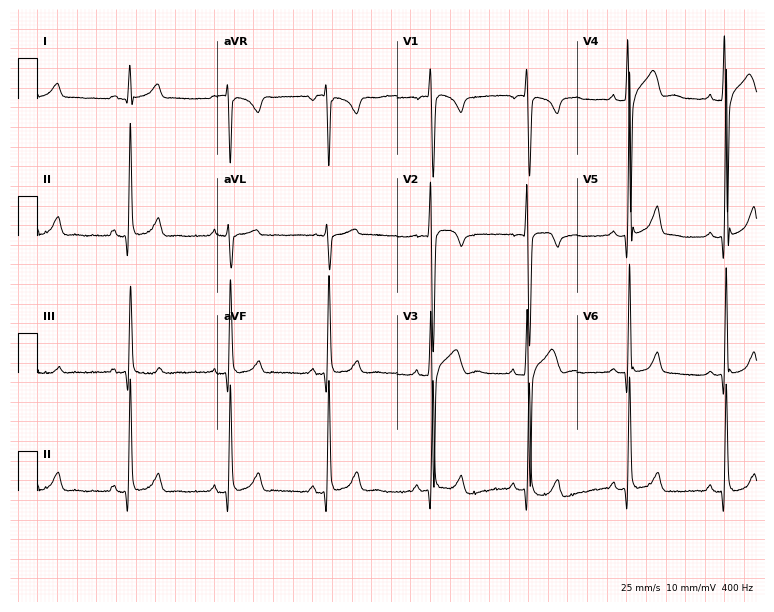
12-lead ECG (7.3-second recording at 400 Hz) from a male, 22 years old. Labelled as a normal ECG.